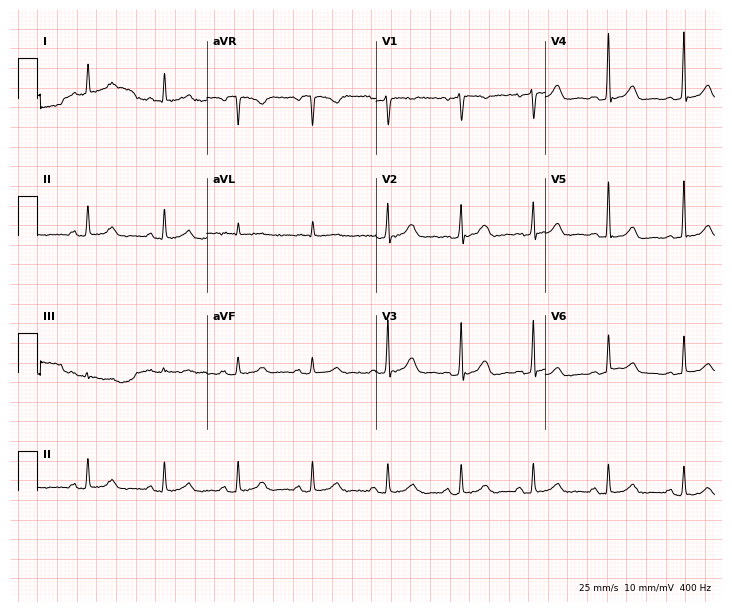
12-lead ECG from a female, 62 years old. Screened for six findings — first-degree AV block, right bundle branch block (RBBB), left bundle branch block (LBBB), sinus bradycardia, atrial fibrillation (AF), sinus tachycardia — none is recorded.